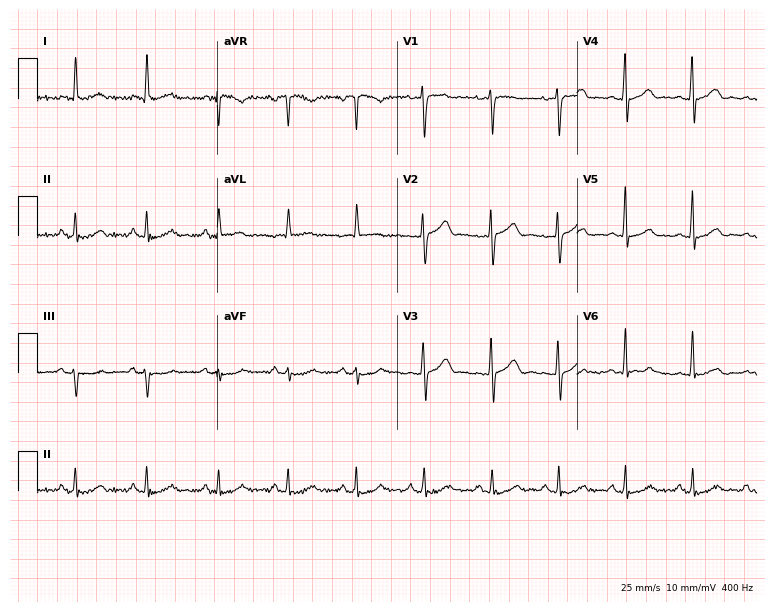
Electrocardiogram, a 55-year-old female patient. Of the six screened findings (first-degree AV block, right bundle branch block (RBBB), left bundle branch block (LBBB), sinus bradycardia, atrial fibrillation (AF), sinus tachycardia), none is recorded.